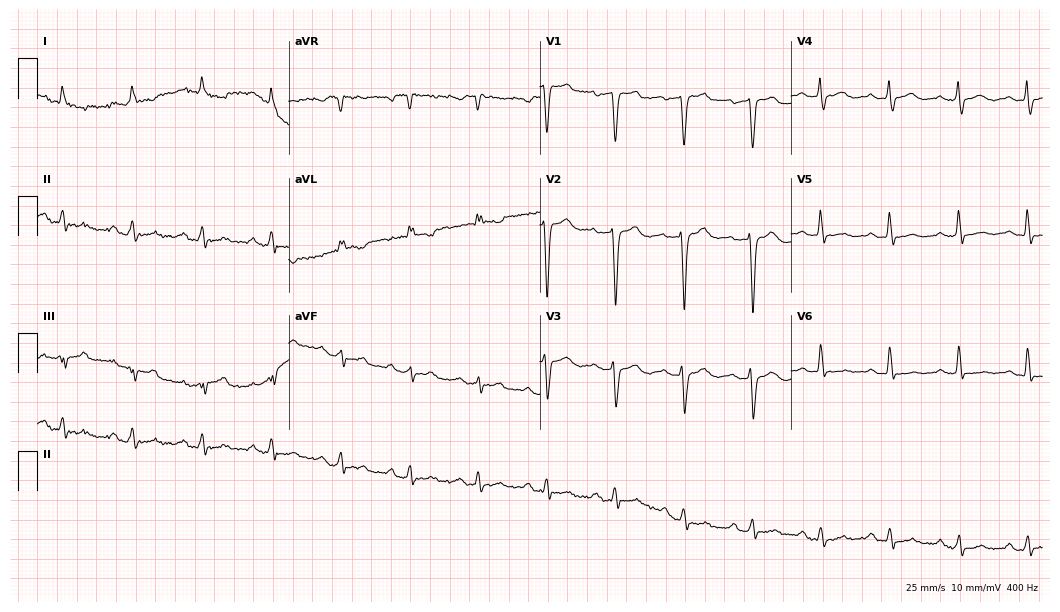
Standard 12-lead ECG recorded from a 44-year-old man. None of these six findings is recorded: first-degree AV block, right bundle branch block (RBBB), left bundle branch block (LBBB), sinus bradycardia, atrial fibrillation (AF), sinus tachycardia.